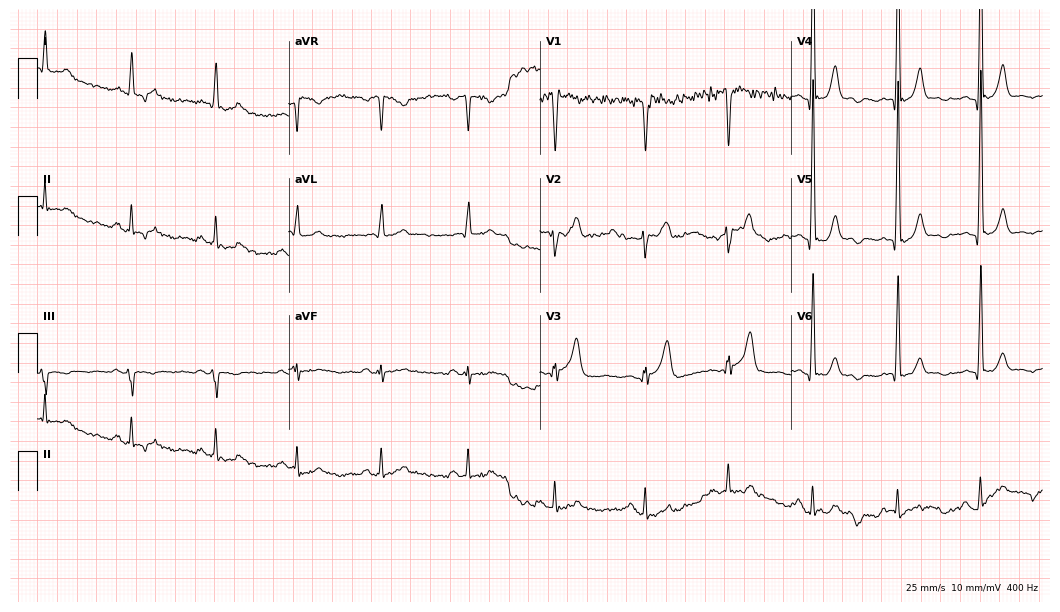
ECG — a 48-year-old male patient. Screened for six findings — first-degree AV block, right bundle branch block, left bundle branch block, sinus bradycardia, atrial fibrillation, sinus tachycardia — none is recorded. Findings outside these six are not listed.